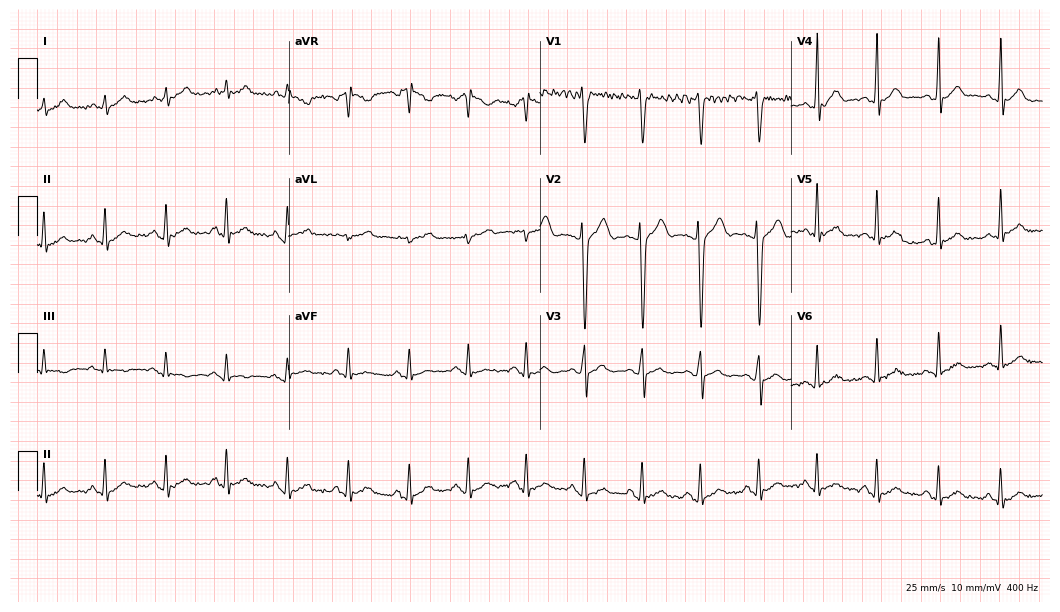
ECG — a man, 25 years old. Labelled as a normal ECG.